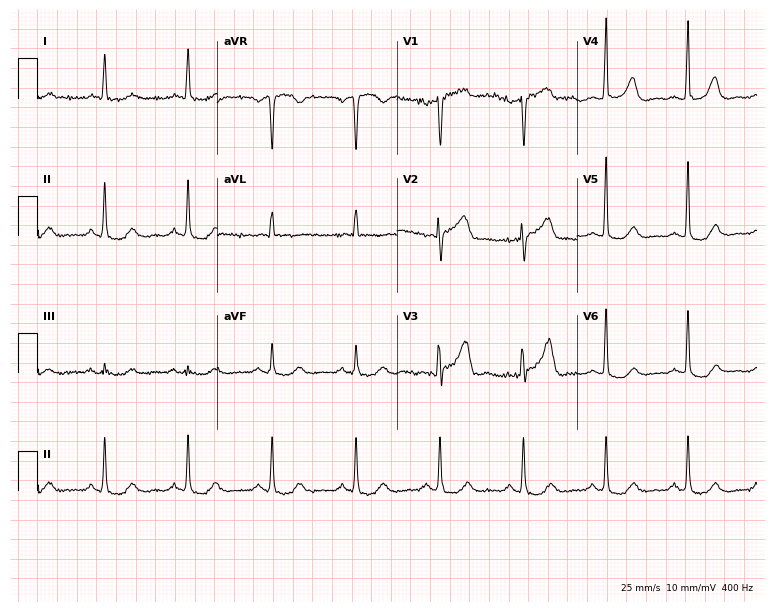
ECG (7.3-second recording at 400 Hz) — a 71-year-old male patient. Labelled as a normal ECG.